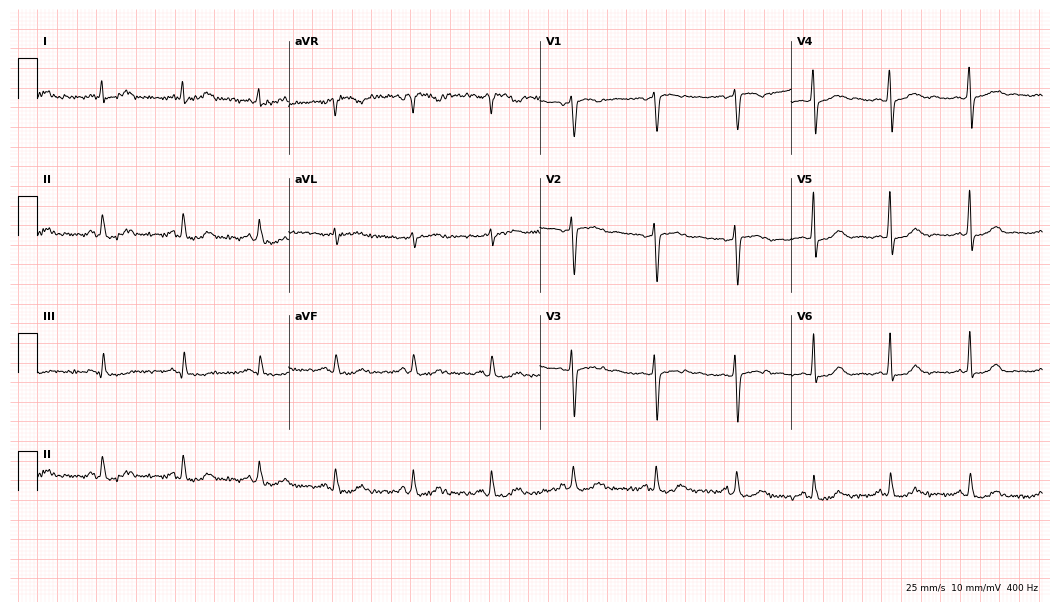
12-lead ECG from a female patient, 34 years old. No first-degree AV block, right bundle branch block (RBBB), left bundle branch block (LBBB), sinus bradycardia, atrial fibrillation (AF) or sinus tachycardia recorded for this tracing.